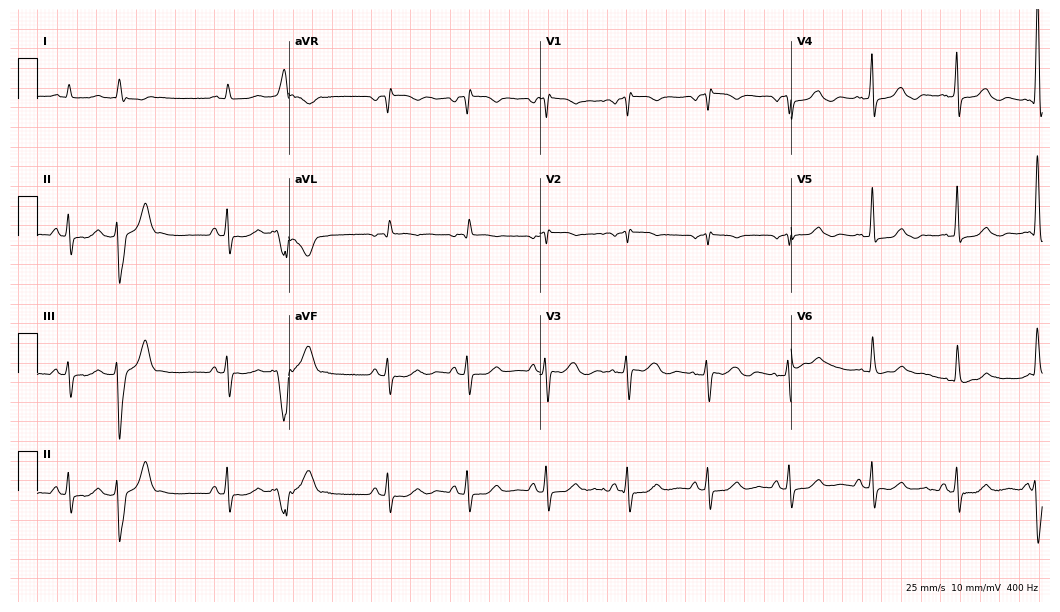
12-lead ECG from a male patient, 65 years old. No first-degree AV block, right bundle branch block, left bundle branch block, sinus bradycardia, atrial fibrillation or sinus tachycardia recorded for this tracing.